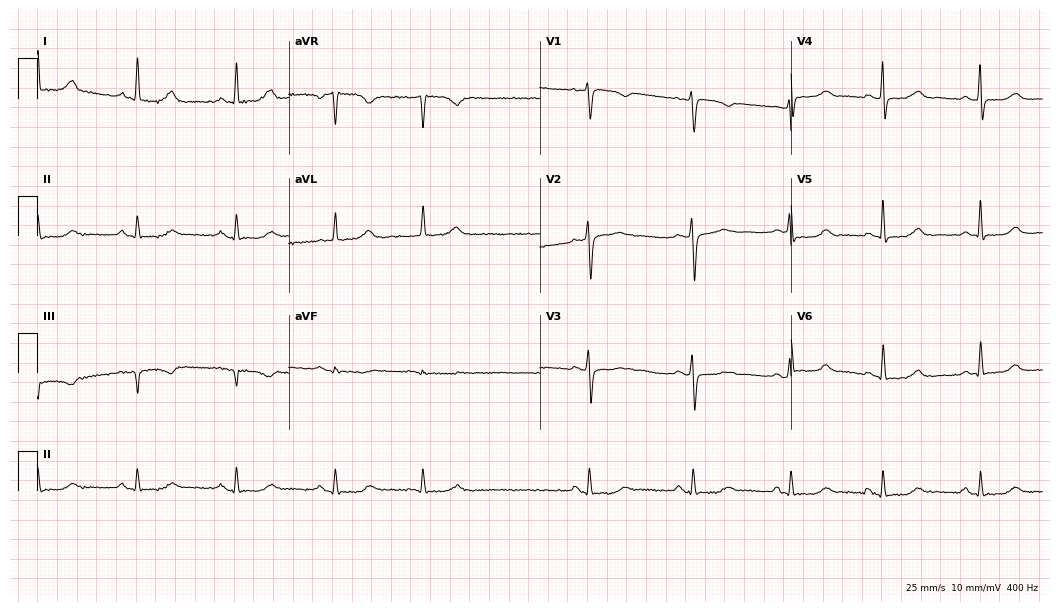
12-lead ECG from a woman, 59 years old (10.2-second recording at 400 Hz). Recorded interpretation: within normal limits.